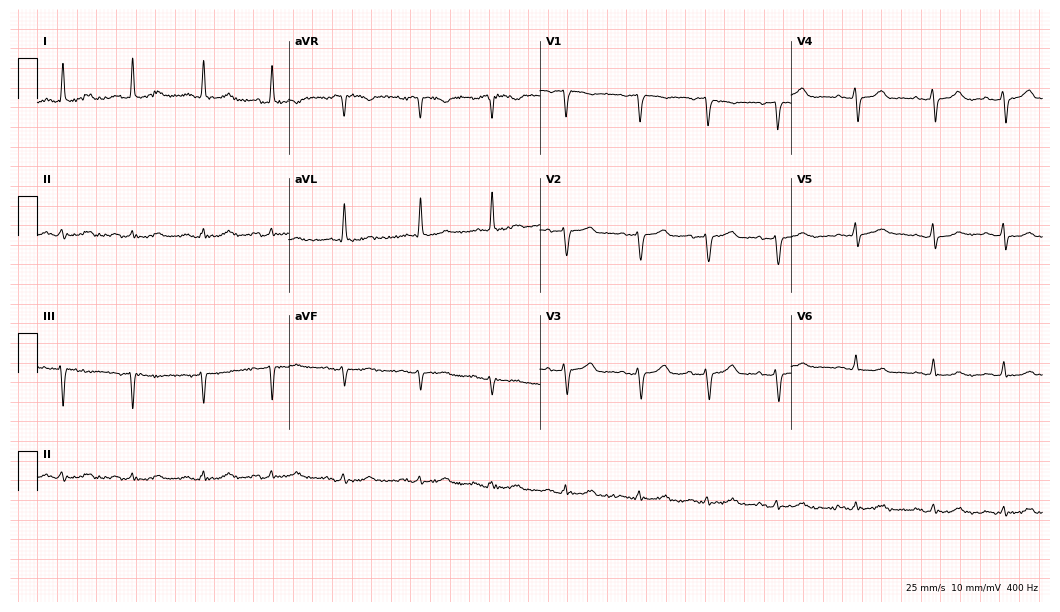
ECG (10.2-second recording at 400 Hz) — an 82-year-old female patient. Labelled as a normal ECG.